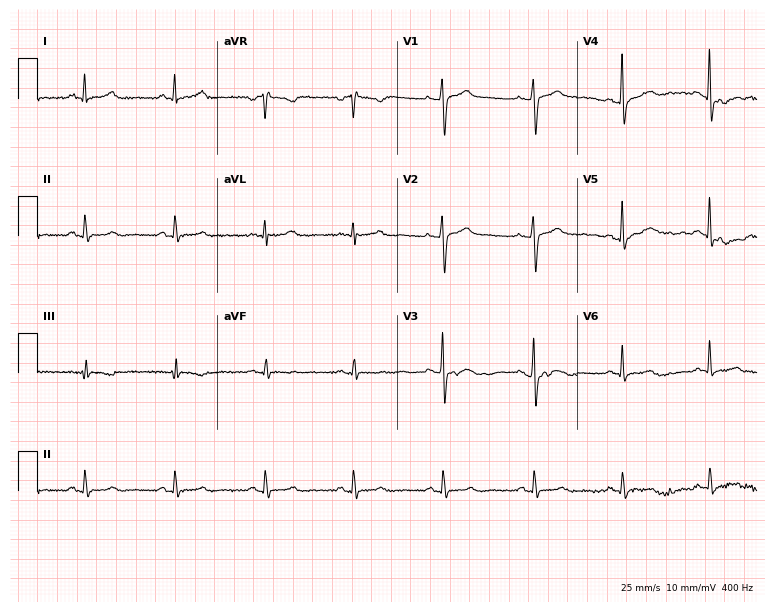
Electrocardiogram (7.3-second recording at 400 Hz), a 39-year-old female patient. Overall reading on record: normal ECG.